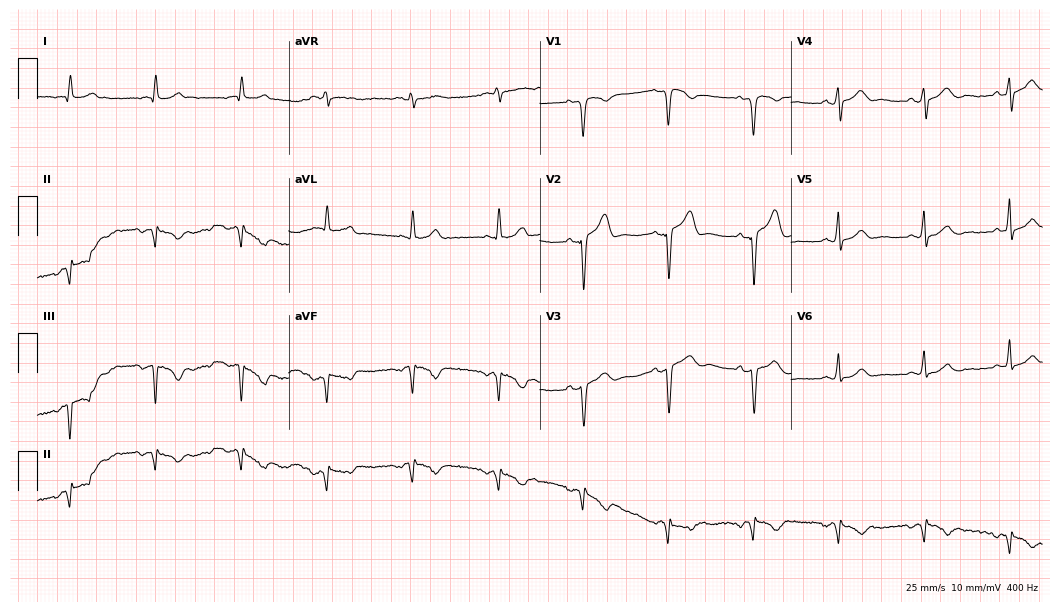
12-lead ECG (10.2-second recording at 400 Hz) from a male, 59 years old. Screened for six findings — first-degree AV block, right bundle branch block, left bundle branch block, sinus bradycardia, atrial fibrillation, sinus tachycardia — none is recorded. Other findings, if any, are not listed.